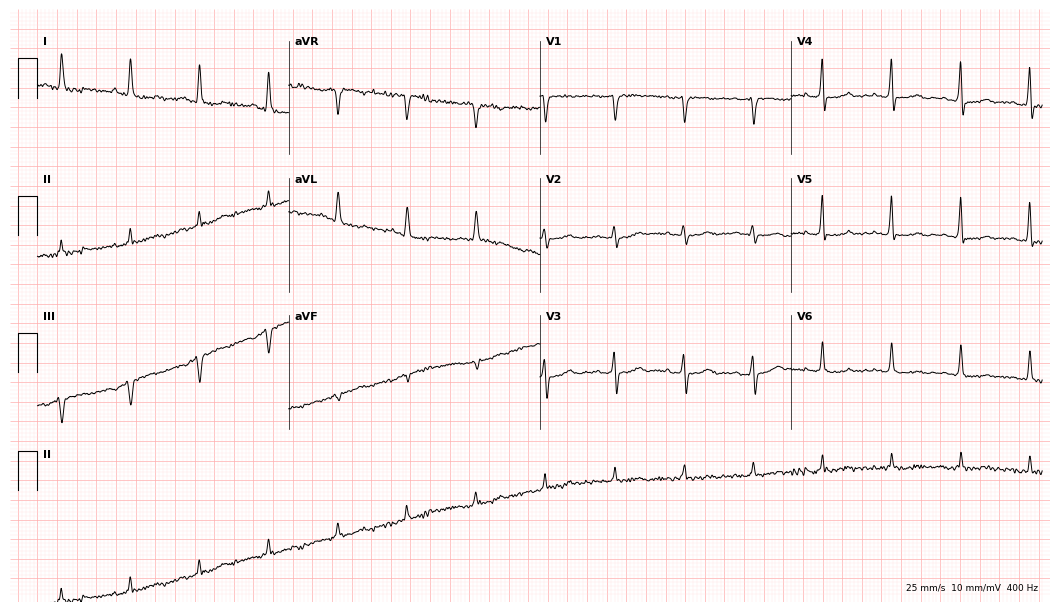
Standard 12-lead ECG recorded from an 82-year-old female. None of these six findings is recorded: first-degree AV block, right bundle branch block, left bundle branch block, sinus bradycardia, atrial fibrillation, sinus tachycardia.